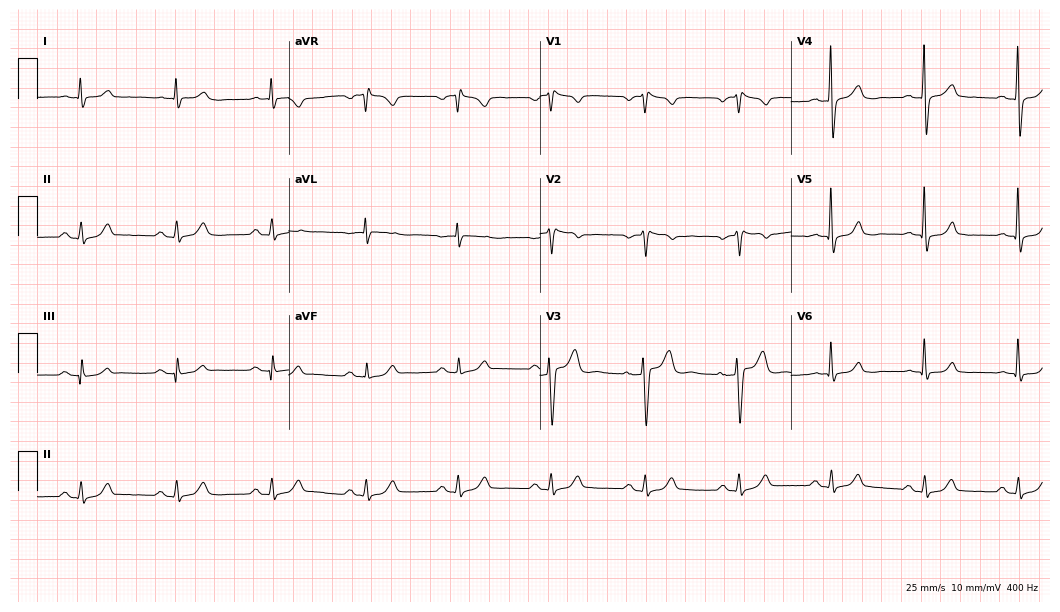
Resting 12-lead electrocardiogram. Patient: a 64-year-old male. None of these six findings is recorded: first-degree AV block, right bundle branch block, left bundle branch block, sinus bradycardia, atrial fibrillation, sinus tachycardia. Findings outside these six are not listed.